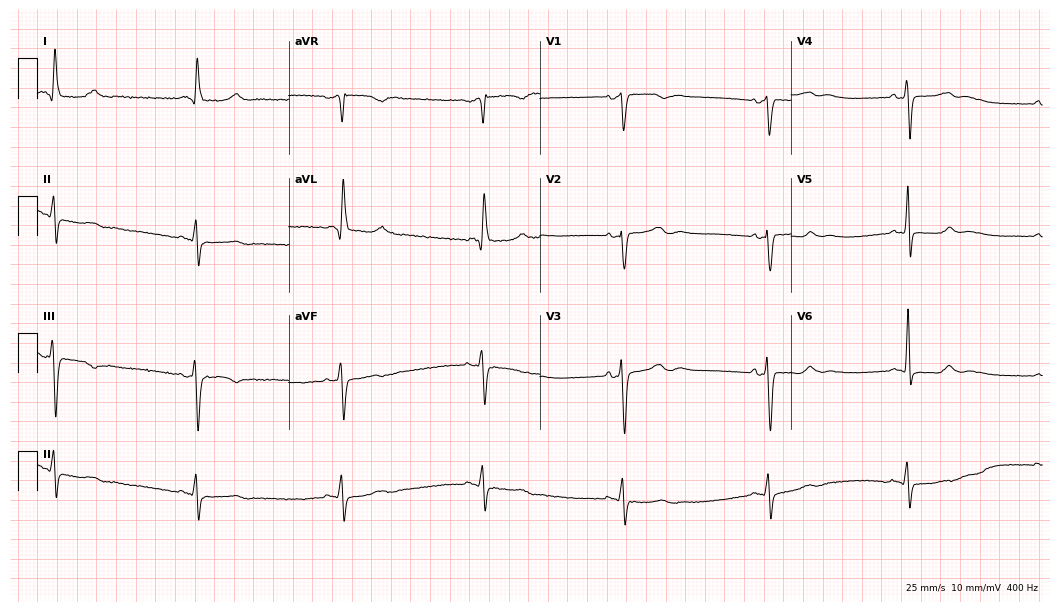
Resting 12-lead electrocardiogram (10.2-second recording at 400 Hz). Patient: a female, 74 years old. None of these six findings is recorded: first-degree AV block, right bundle branch block, left bundle branch block, sinus bradycardia, atrial fibrillation, sinus tachycardia. Only these six findings were labelled.